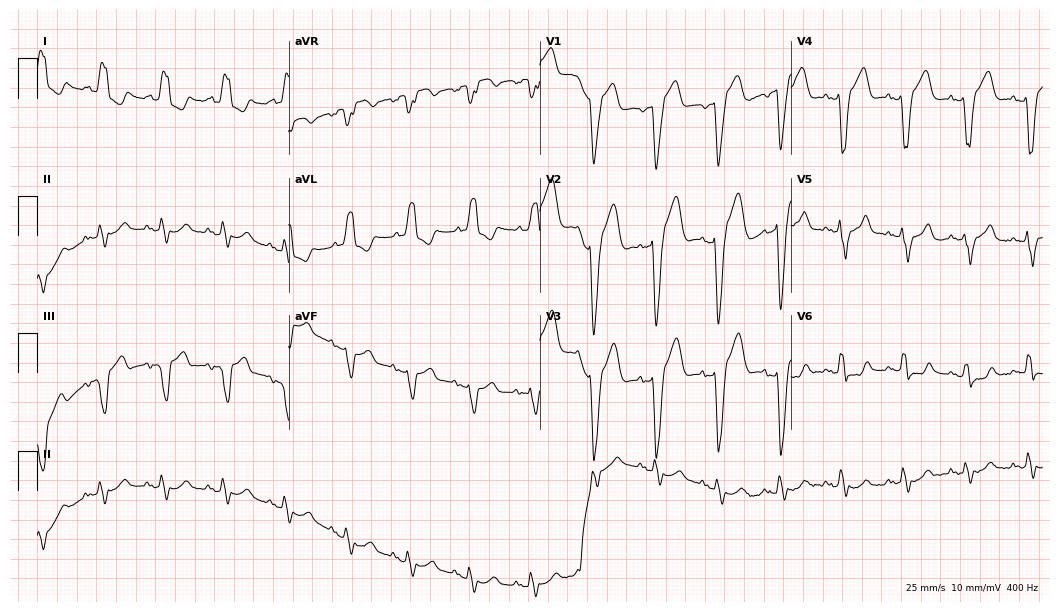
12-lead ECG from a man, 80 years old (10.2-second recording at 400 Hz). No first-degree AV block, right bundle branch block (RBBB), left bundle branch block (LBBB), sinus bradycardia, atrial fibrillation (AF) or sinus tachycardia recorded for this tracing. Only these six findings were labelled.